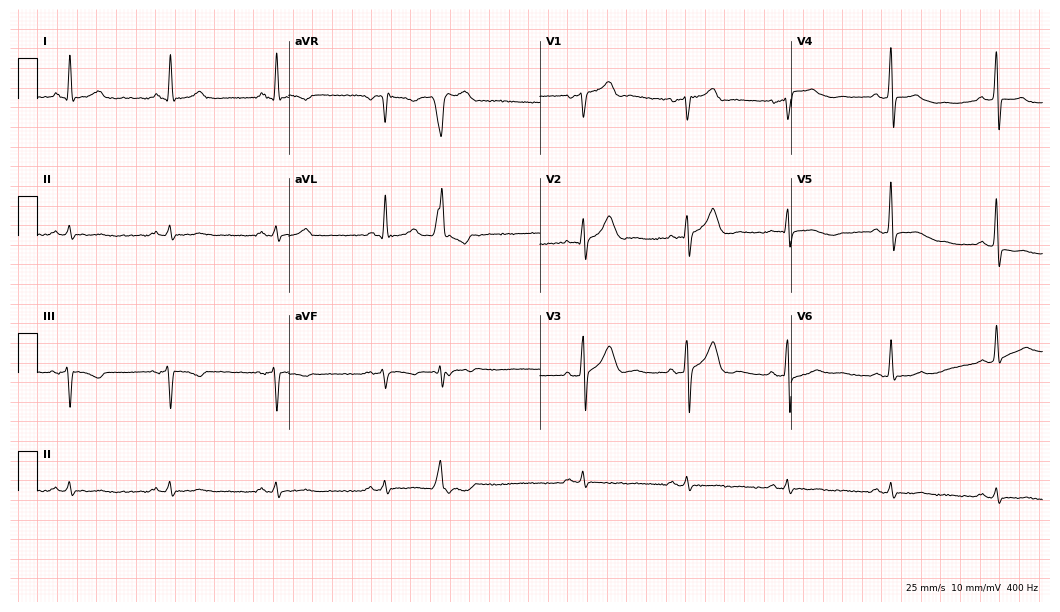
ECG (10.2-second recording at 400 Hz) — a male patient, 55 years old. Labelled as a normal ECG.